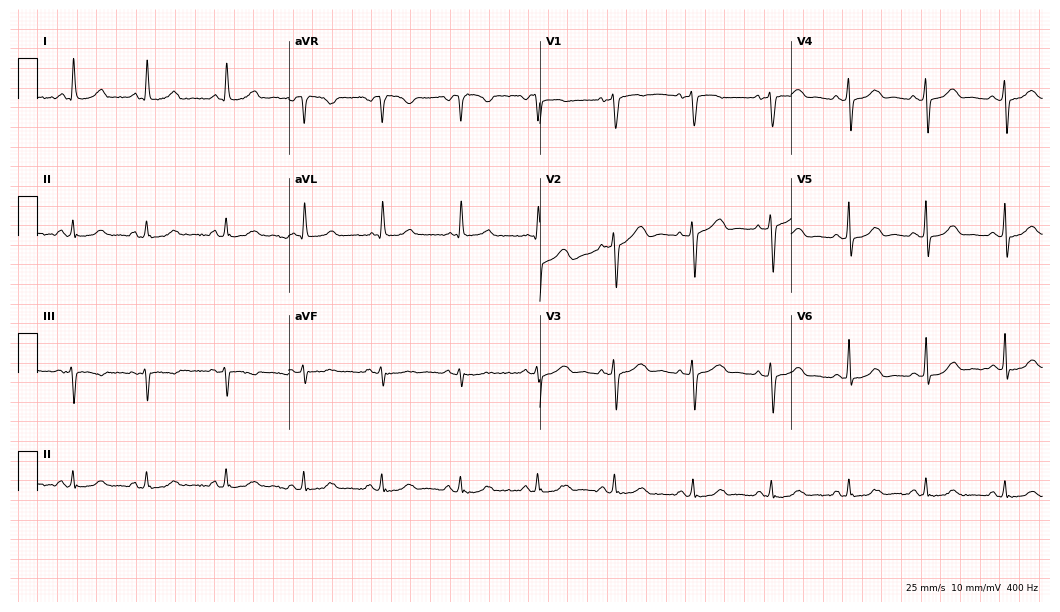
Electrocardiogram (10.2-second recording at 400 Hz), a 62-year-old female. Overall reading on record: normal ECG.